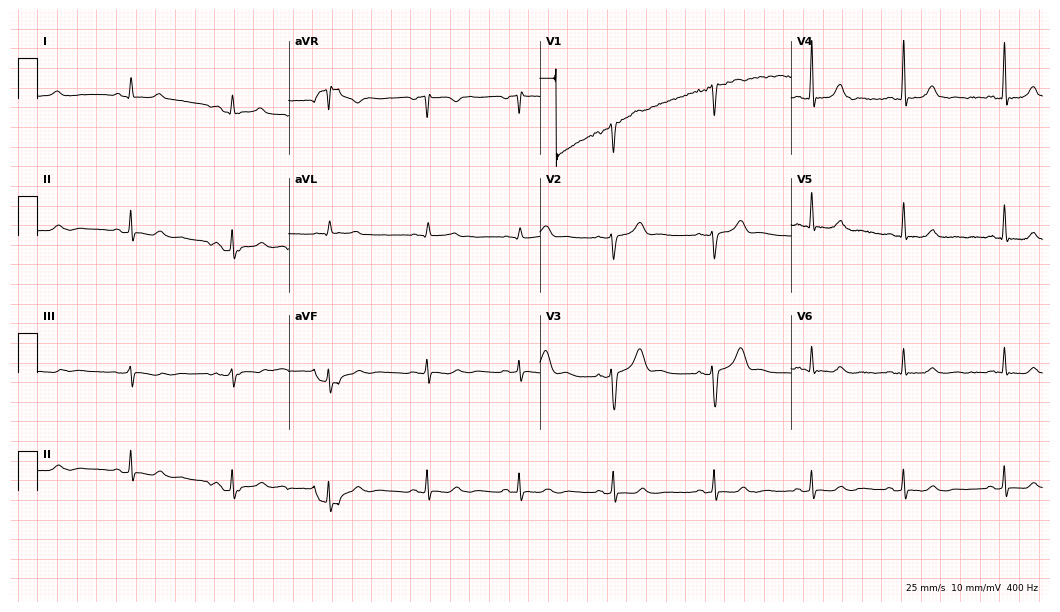
ECG (10.2-second recording at 400 Hz) — a female, 28 years old. Screened for six findings — first-degree AV block, right bundle branch block (RBBB), left bundle branch block (LBBB), sinus bradycardia, atrial fibrillation (AF), sinus tachycardia — none is recorded. Other findings, if any, are not listed.